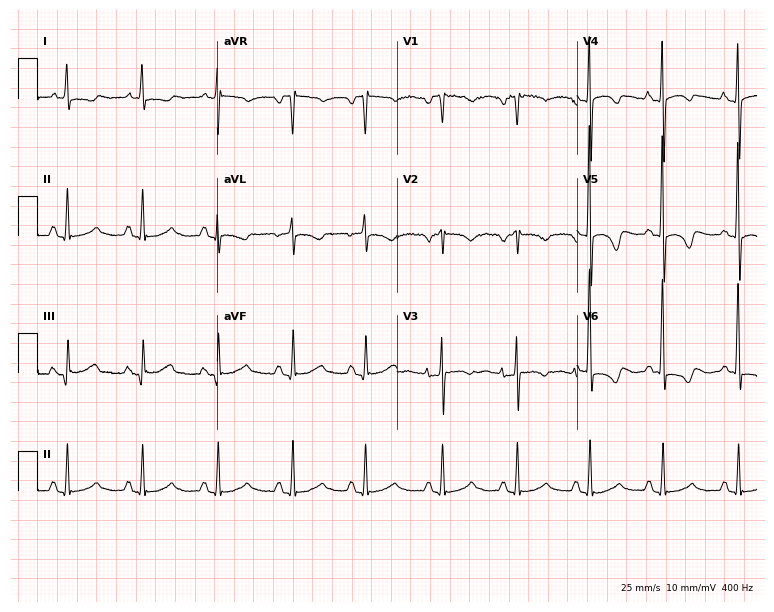
Standard 12-lead ECG recorded from a female patient, 84 years old. None of these six findings is recorded: first-degree AV block, right bundle branch block, left bundle branch block, sinus bradycardia, atrial fibrillation, sinus tachycardia.